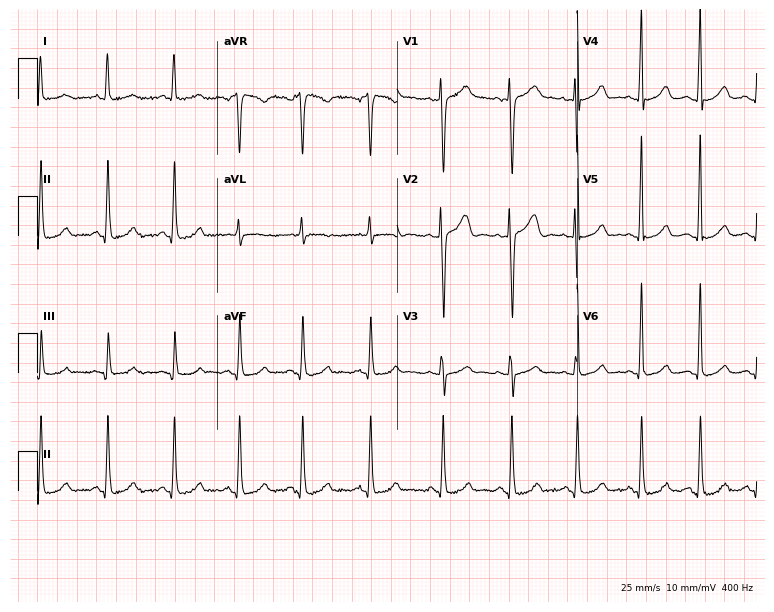
Standard 12-lead ECG recorded from a woman, 23 years old (7.3-second recording at 400 Hz). Read as a normal ECG.